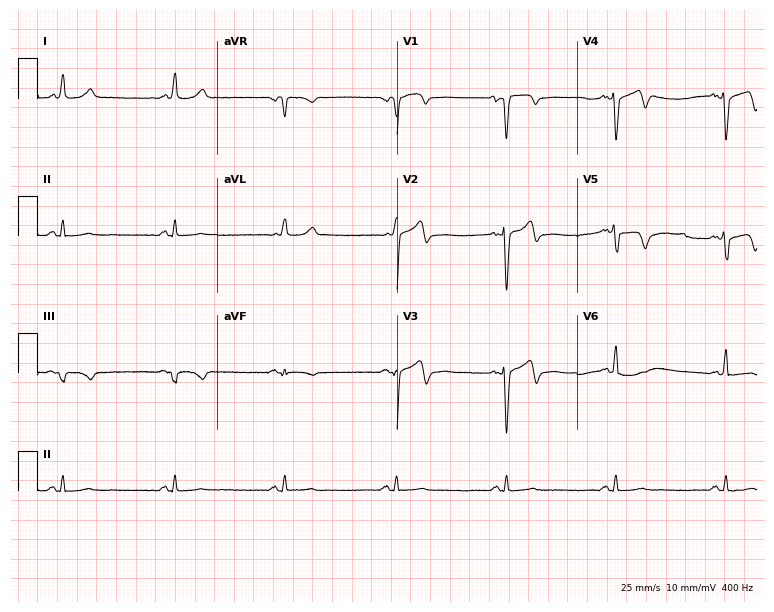
Resting 12-lead electrocardiogram (7.3-second recording at 400 Hz). Patient: a male, 71 years old. None of these six findings is recorded: first-degree AV block, right bundle branch block, left bundle branch block, sinus bradycardia, atrial fibrillation, sinus tachycardia. Other findings, if any, are not listed.